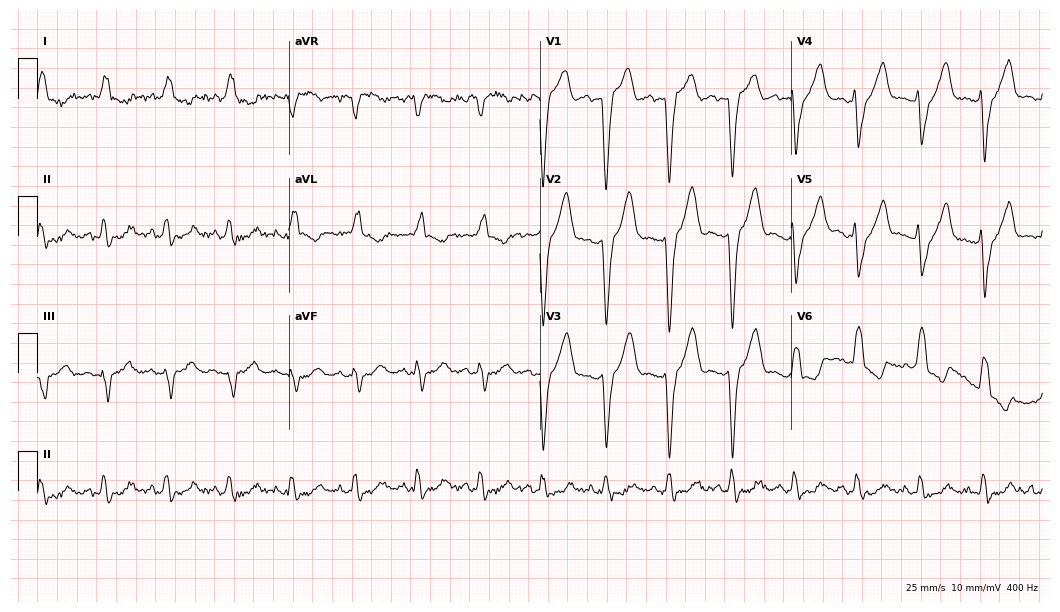
12-lead ECG (10.2-second recording at 400 Hz) from an 84-year-old male. Findings include left bundle branch block.